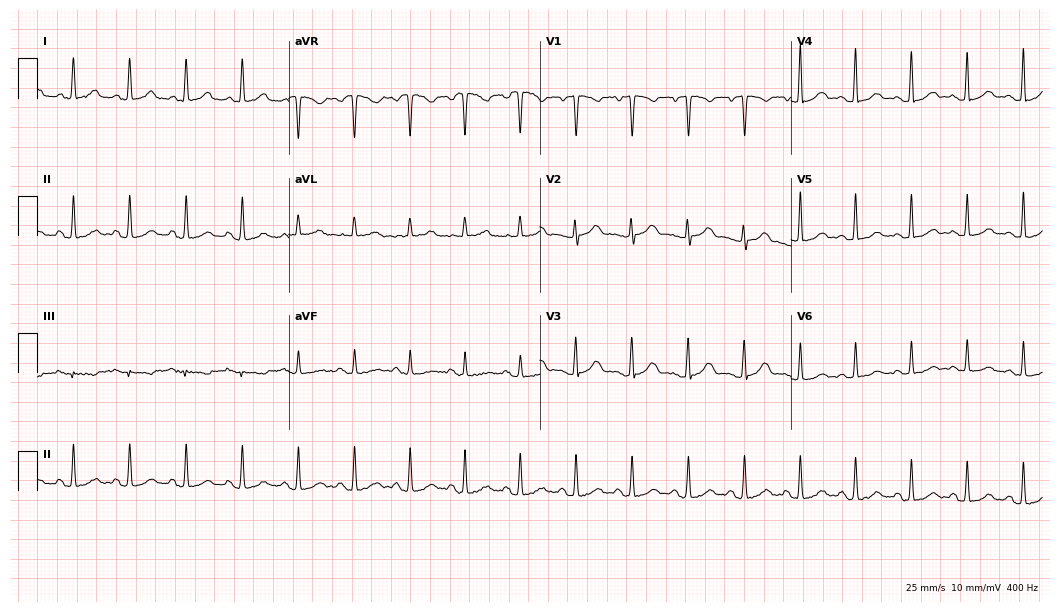
12-lead ECG from a female, 50 years old. Shows sinus tachycardia (a sinus rate of 100 beats per minute or more).